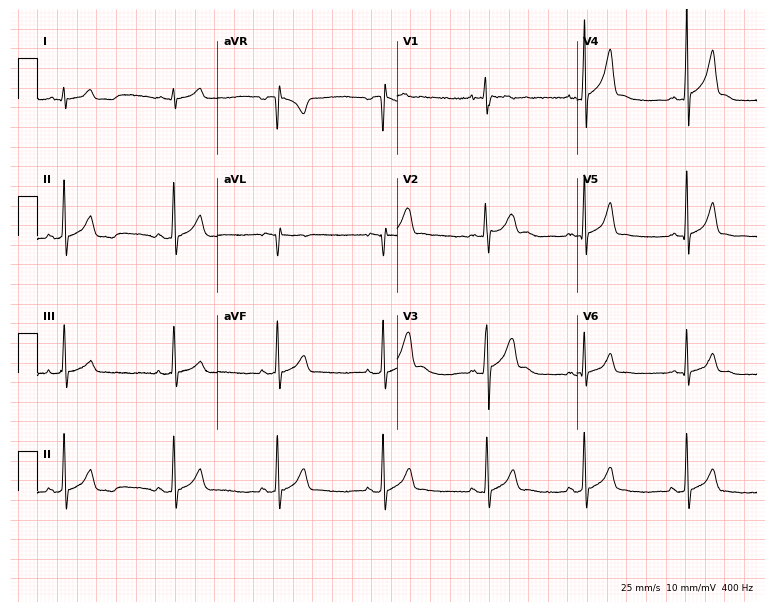
ECG — a male patient, 18 years old. Labelled as a normal ECG.